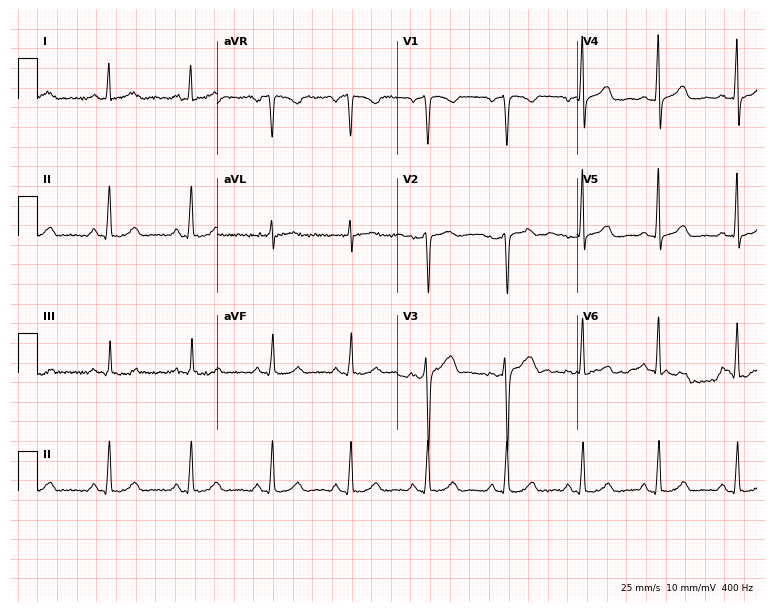
12-lead ECG from a woman, 36 years old. Recorded interpretation: within normal limits.